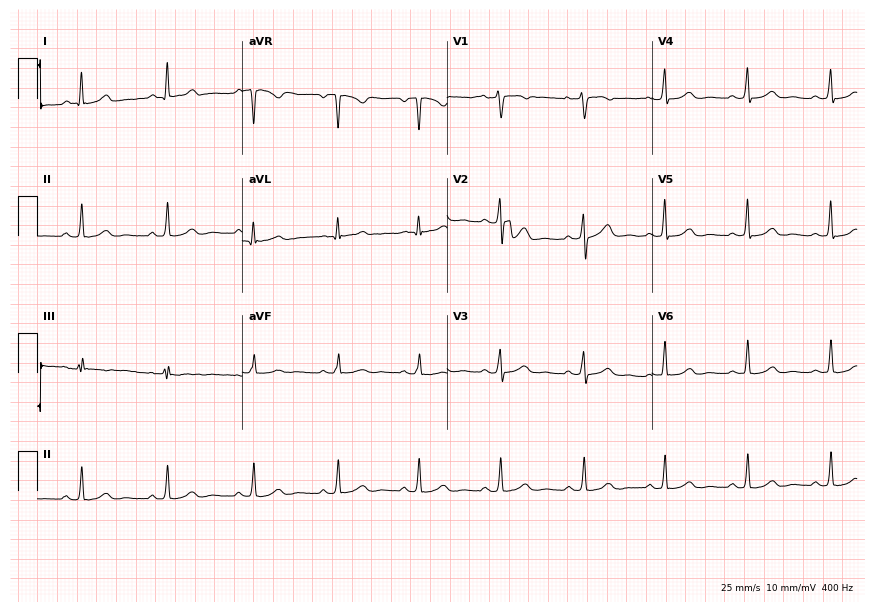
ECG — a female, 28 years old. Labelled as a normal ECG.